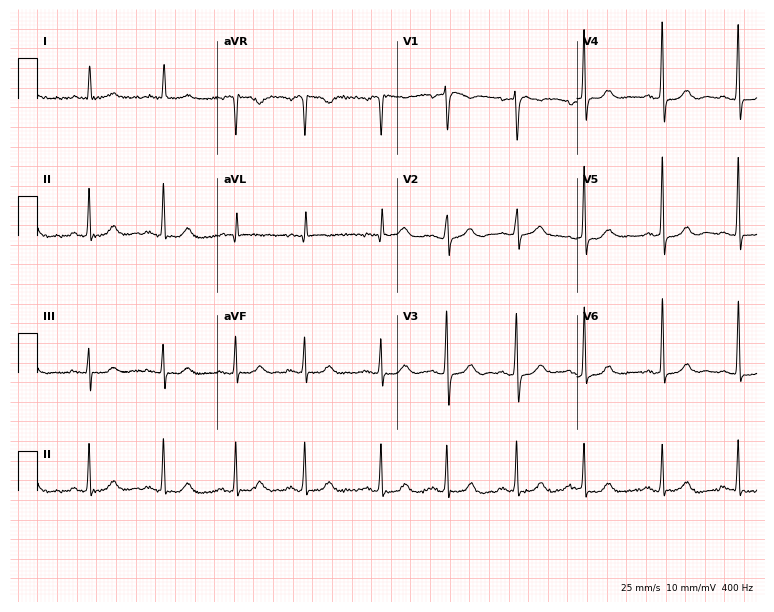
12-lead ECG from a female patient, 83 years old. Recorded interpretation: within normal limits.